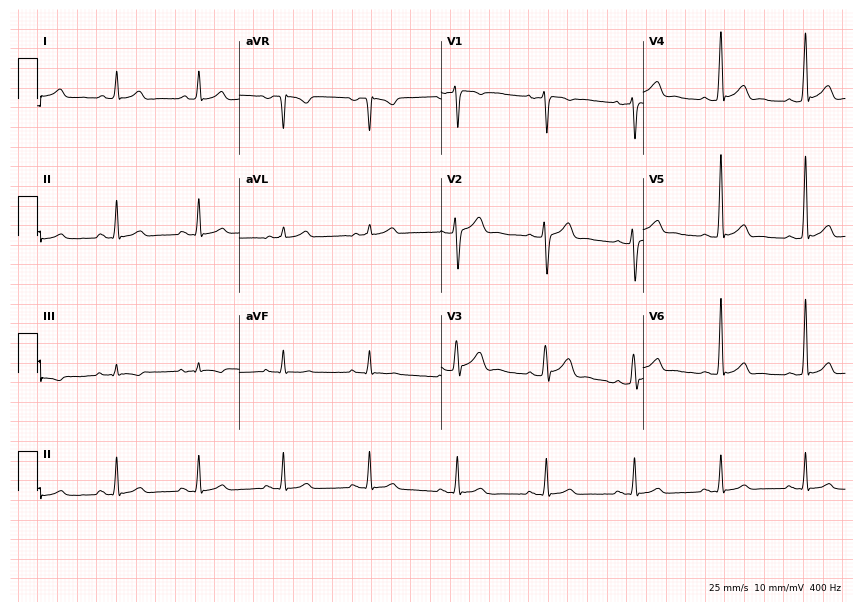
Electrocardiogram (8.2-second recording at 400 Hz), a man, 41 years old. Overall reading on record: normal ECG.